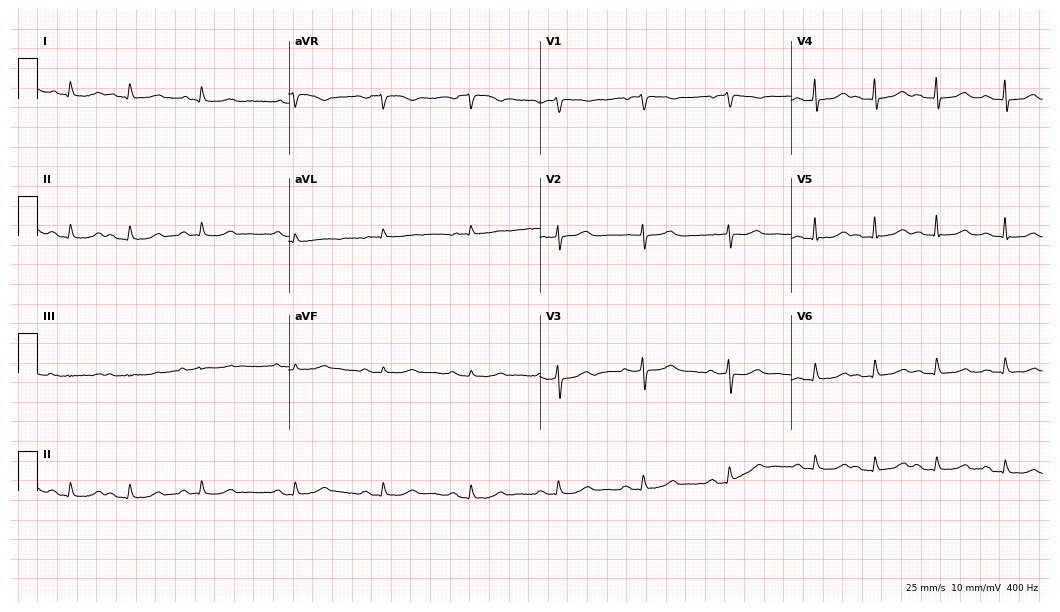
12-lead ECG from an 84-year-old female patient. Findings include first-degree AV block.